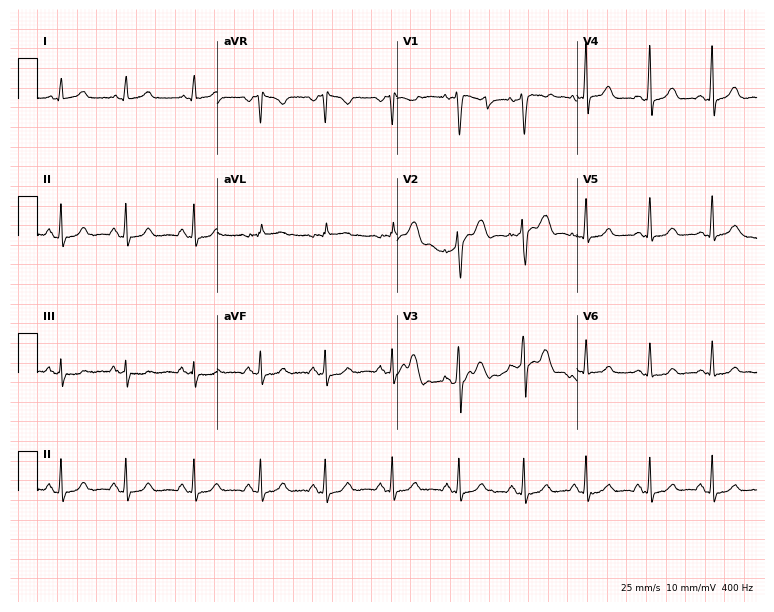
ECG (7.3-second recording at 400 Hz) — a female patient, 26 years old. Screened for six findings — first-degree AV block, right bundle branch block (RBBB), left bundle branch block (LBBB), sinus bradycardia, atrial fibrillation (AF), sinus tachycardia — none is recorded. Other findings, if any, are not listed.